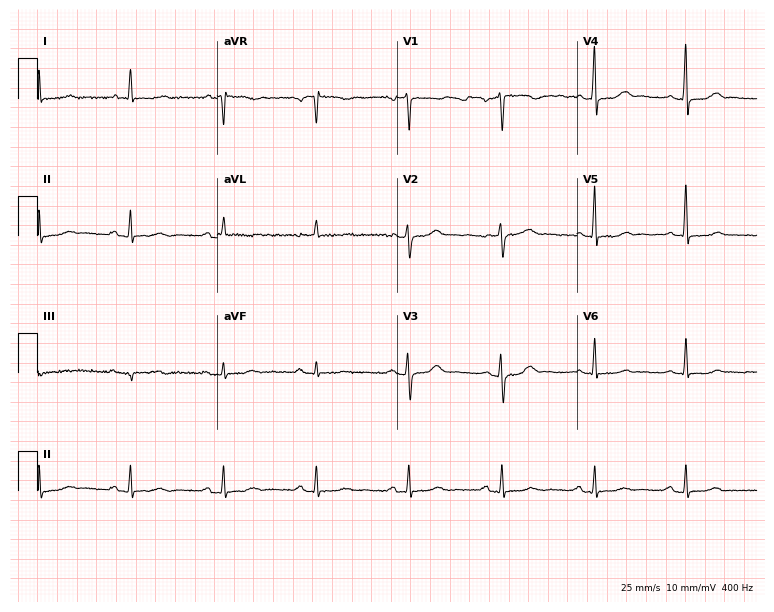
Standard 12-lead ECG recorded from a 49-year-old woman (7.3-second recording at 400 Hz). Read as a normal ECG.